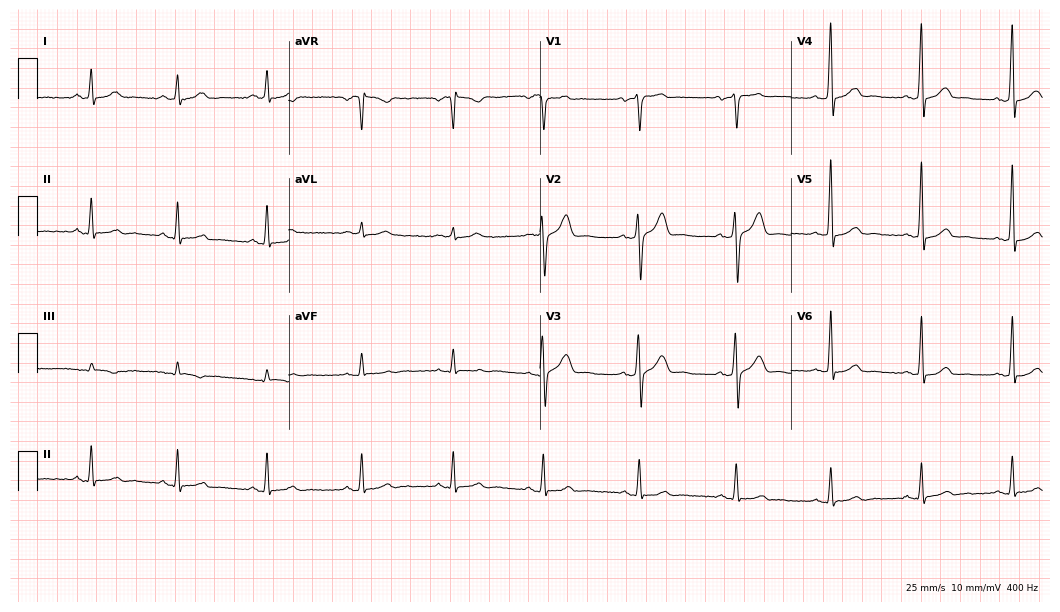
12-lead ECG (10.2-second recording at 400 Hz) from a 63-year-old male. Labelled as a normal ECG.